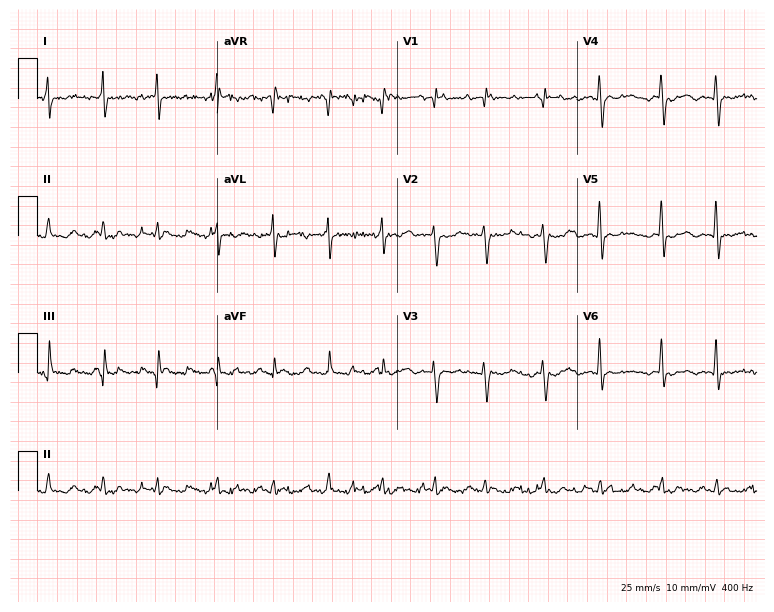
Standard 12-lead ECG recorded from a male, 79 years old. None of these six findings is recorded: first-degree AV block, right bundle branch block, left bundle branch block, sinus bradycardia, atrial fibrillation, sinus tachycardia.